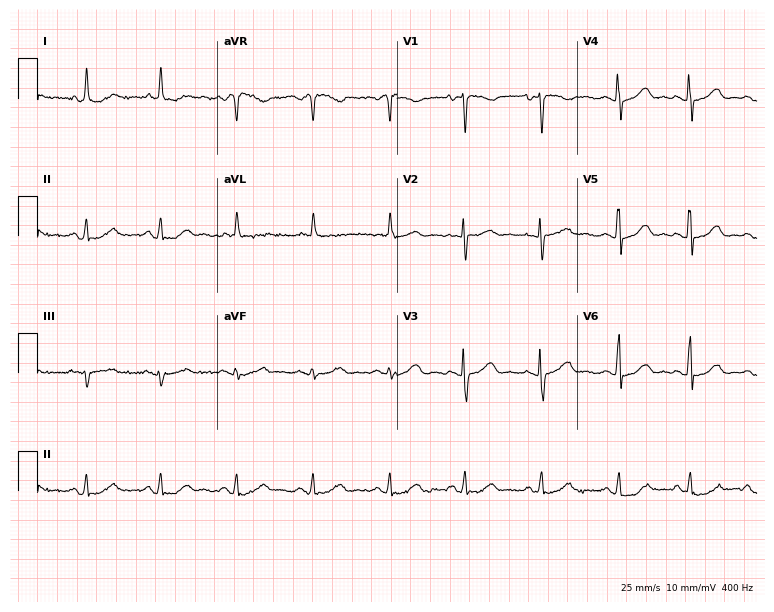
Standard 12-lead ECG recorded from a 47-year-old female (7.3-second recording at 400 Hz). None of these six findings is recorded: first-degree AV block, right bundle branch block, left bundle branch block, sinus bradycardia, atrial fibrillation, sinus tachycardia. Findings outside these six are not listed.